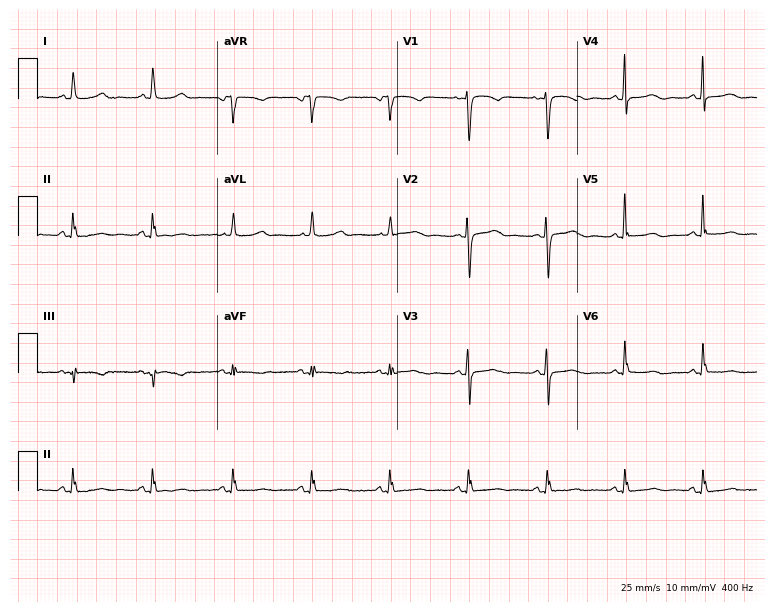
Standard 12-lead ECG recorded from a 71-year-old man (7.3-second recording at 400 Hz). None of these six findings is recorded: first-degree AV block, right bundle branch block, left bundle branch block, sinus bradycardia, atrial fibrillation, sinus tachycardia.